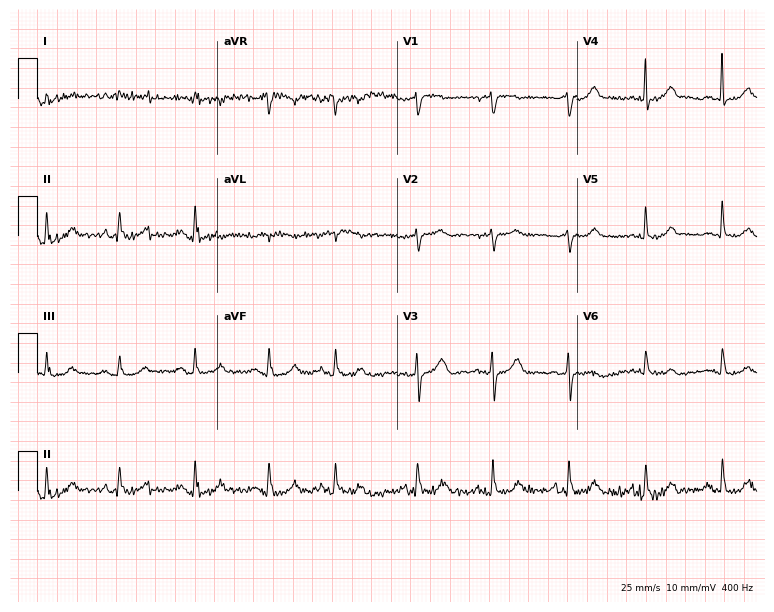
ECG — a 78-year-old female. Screened for six findings — first-degree AV block, right bundle branch block (RBBB), left bundle branch block (LBBB), sinus bradycardia, atrial fibrillation (AF), sinus tachycardia — none is recorded.